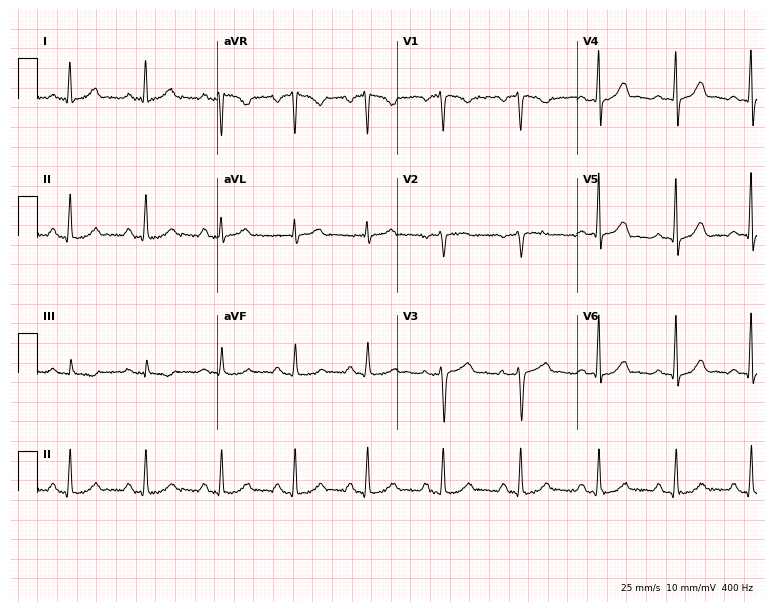
Standard 12-lead ECG recorded from a female patient, 47 years old. Read as a normal ECG.